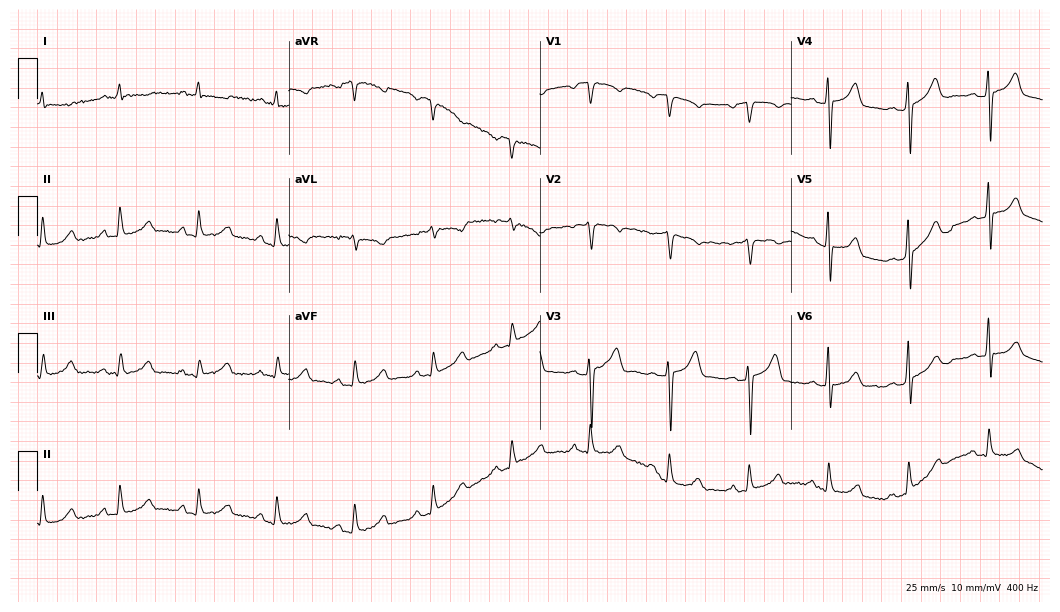
Electrocardiogram (10.2-second recording at 400 Hz), a 63-year-old male. Of the six screened findings (first-degree AV block, right bundle branch block, left bundle branch block, sinus bradycardia, atrial fibrillation, sinus tachycardia), none is recorded. Only these six findings were labelled.